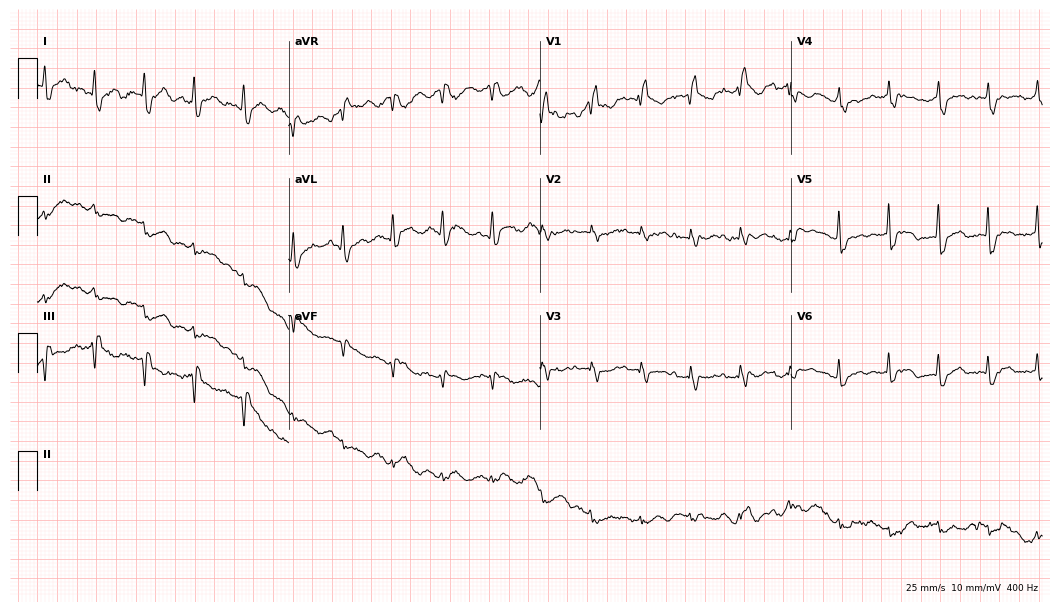
Electrocardiogram, a 70-year-old male. Interpretation includes right bundle branch block, sinus tachycardia (a sinus rate of 100 beats per minute or more).